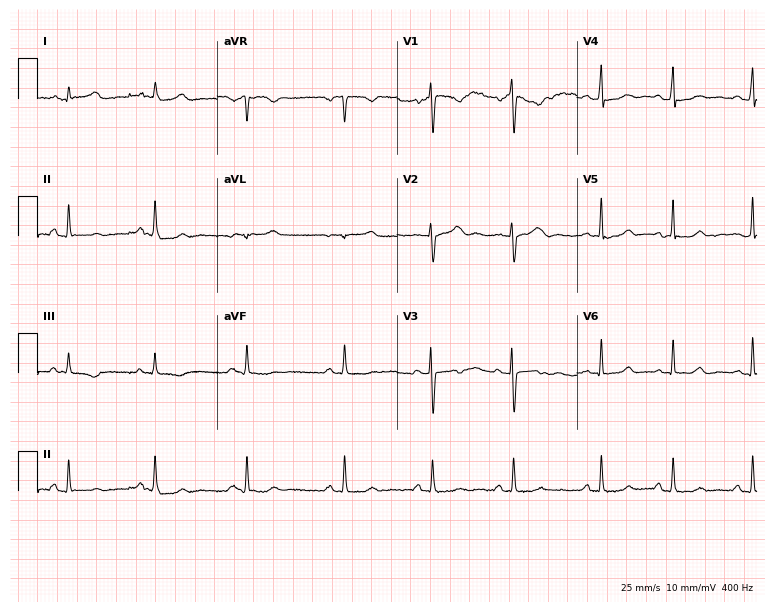
Standard 12-lead ECG recorded from a woman, 20 years old (7.3-second recording at 400 Hz). Read as a normal ECG.